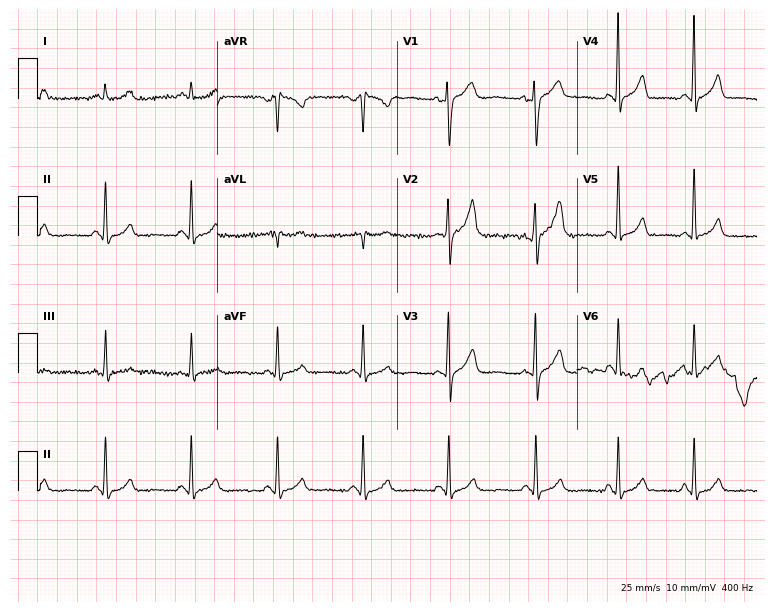
Electrocardiogram, a 58-year-old male. Overall reading on record: normal ECG.